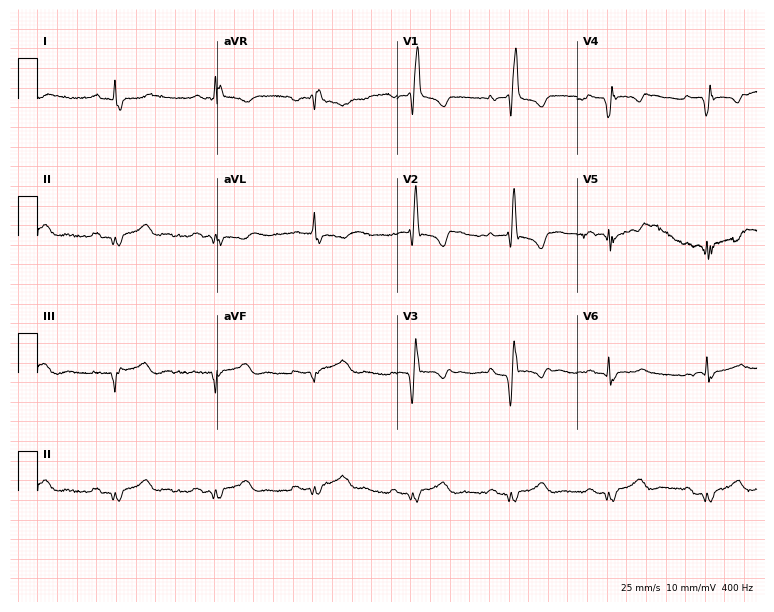
Standard 12-lead ECG recorded from a 74-year-old male patient (7.3-second recording at 400 Hz). None of these six findings is recorded: first-degree AV block, right bundle branch block, left bundle branch block, sinus bradycardia, atrial fibrillation, sinus tachycardia. Findings outside these six are not listed.